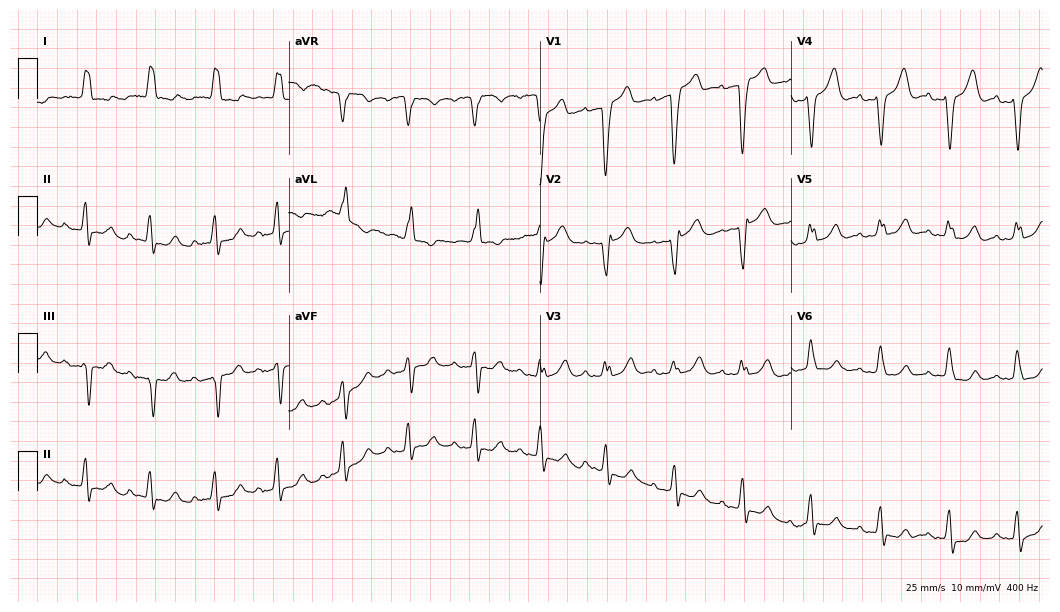
ECG (10.2-second recording at 400 Hz) — a female patient, 84 years old. Findings include left bundle branch block.